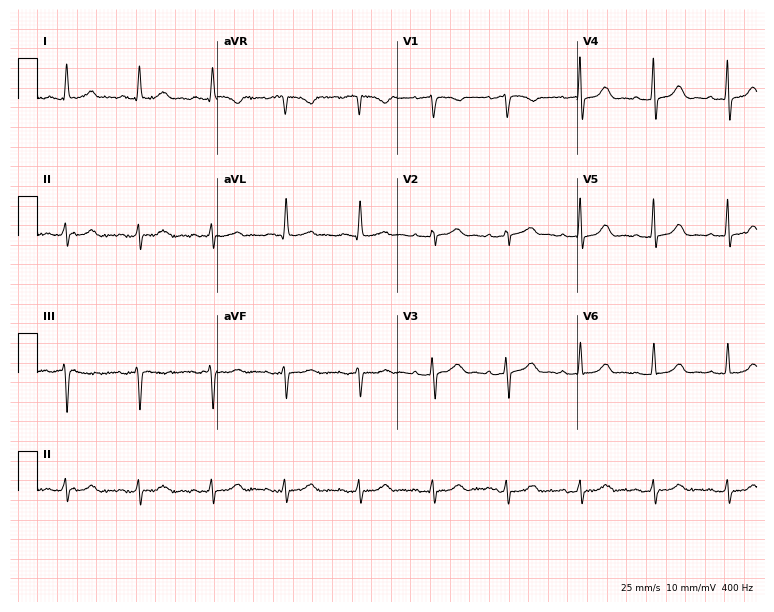
Standard 12-lead ECG recorded from a female patient, 66 years old (7.3-second recording at 400 Hz). Read as a normal ECG.